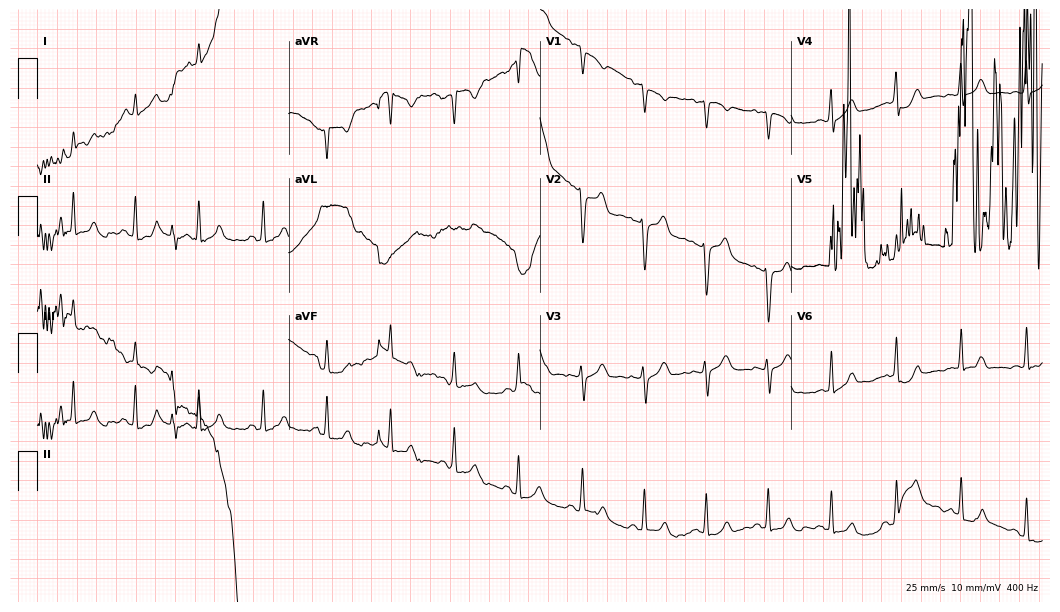
Electrocardiogram (10.2-second recording at 400 Hz), a 32-year-old woman. Of the six screened findings (first-degree AV block, right bundle branch block, left bundle branch block, sinus bradycardia, atrial fibrillation, sinus tachycardia), none is recorded.